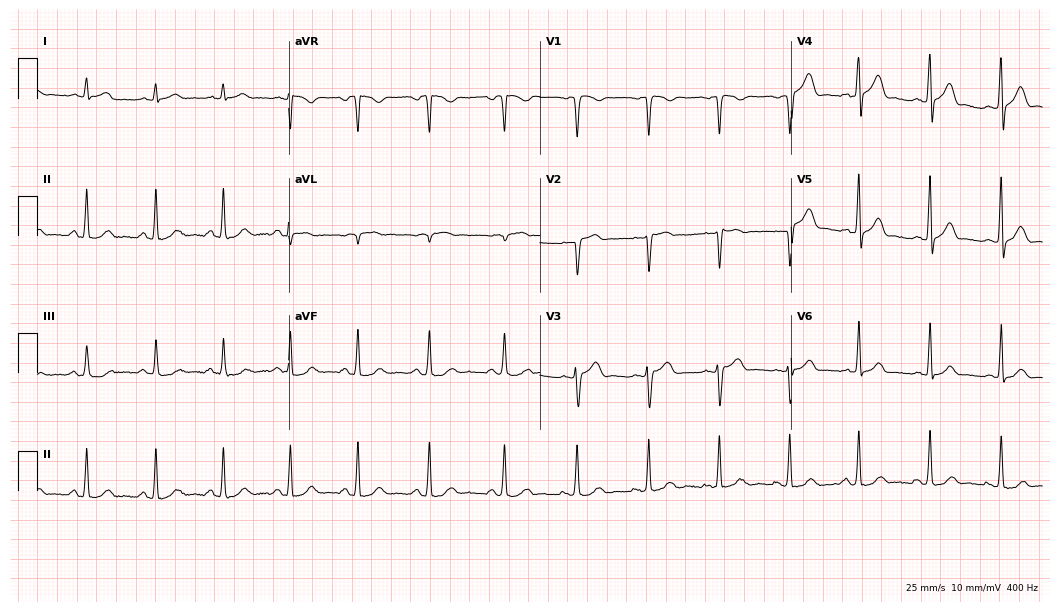
Resting 12-lead electrocardiogram (10.2-second recording at 400 Hz). Patient: a male, 56 years old. None of these six findings is recorded: first-degree AV block, right bundle branch block, left bundle branch block, sinus bradycardia, atrial fibrillation, sinus tachycardia.